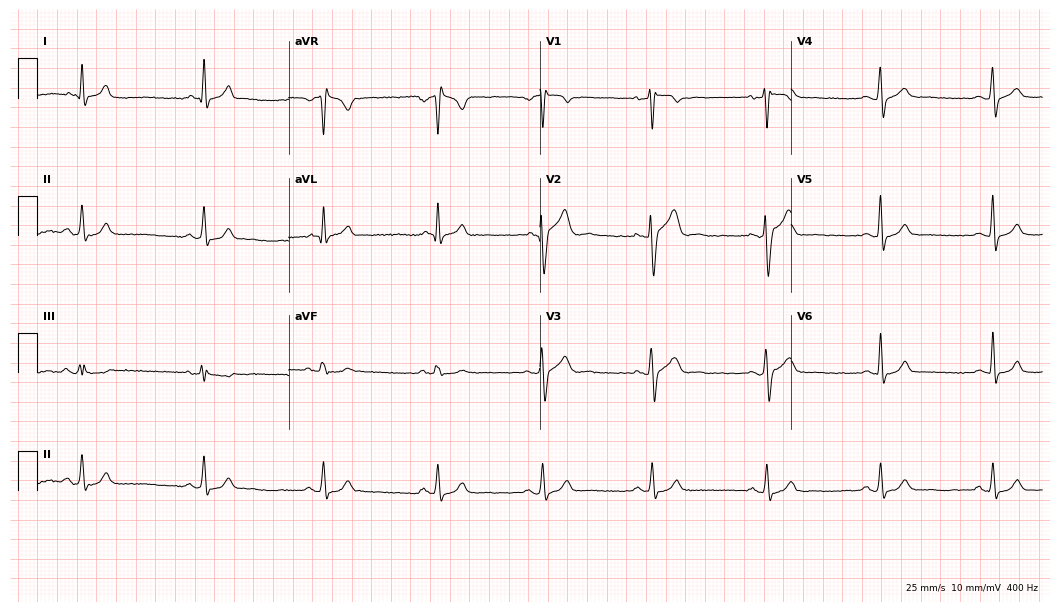
Electrocardiogram (10.2-second recording at 400 Hz), a 43-year-old male patient. Of the six screened findings (first-degree AV block, right bundle branch block, left bundle branch block, sinus bradycardia, atrial fibrillation, sinus tachycardia), none is recorded. Only these six findings were labelled.